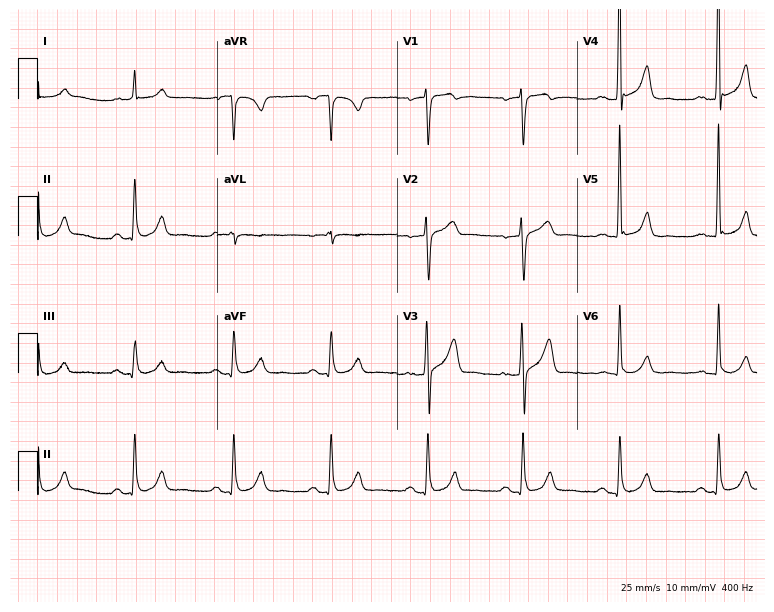
Standard 12-lead ECG recorded from a 76-year-old male patient (7.3-second recording at 400 Hz). Read as a normal ECG.